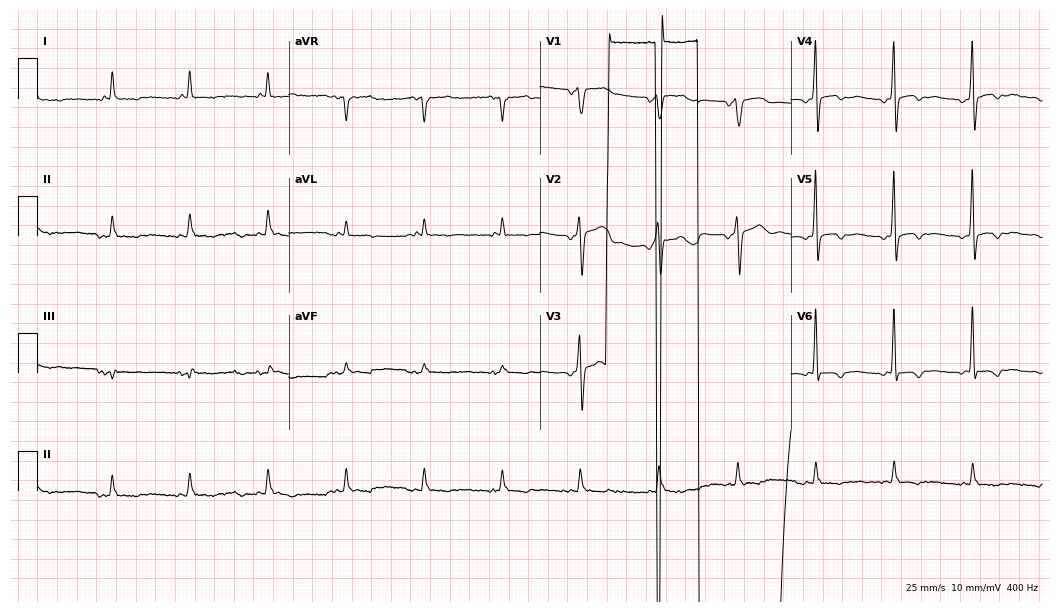
Electrocardiogram (10.2-second recording at 400 Hz), a 75-year-old man. Of the six screened findings (first-degree AV block, right bundle branch block, left bundle branch block, sinus bradycardia, atrial fibrillation, sinus tachycardia), none is recorded. Findings outside these six are not listed.